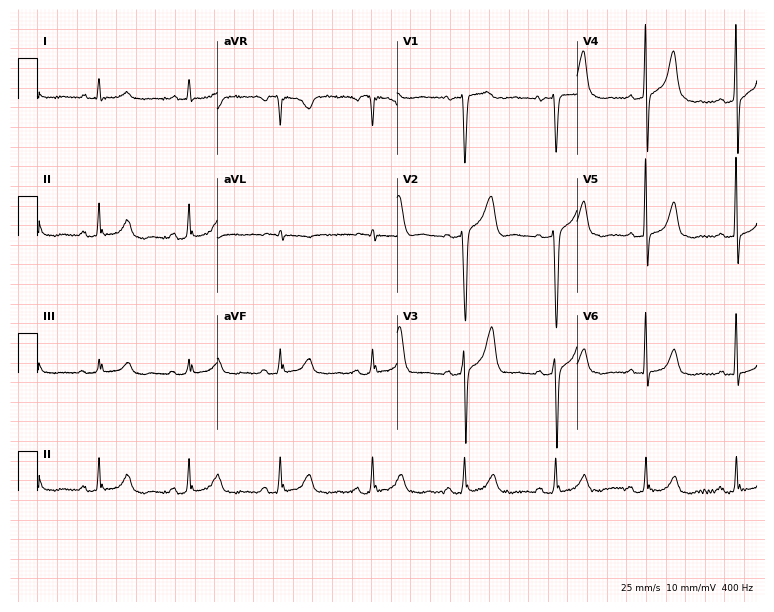
12-lead ECG from a woman, 53 years old. Labelled as a normal ECG.